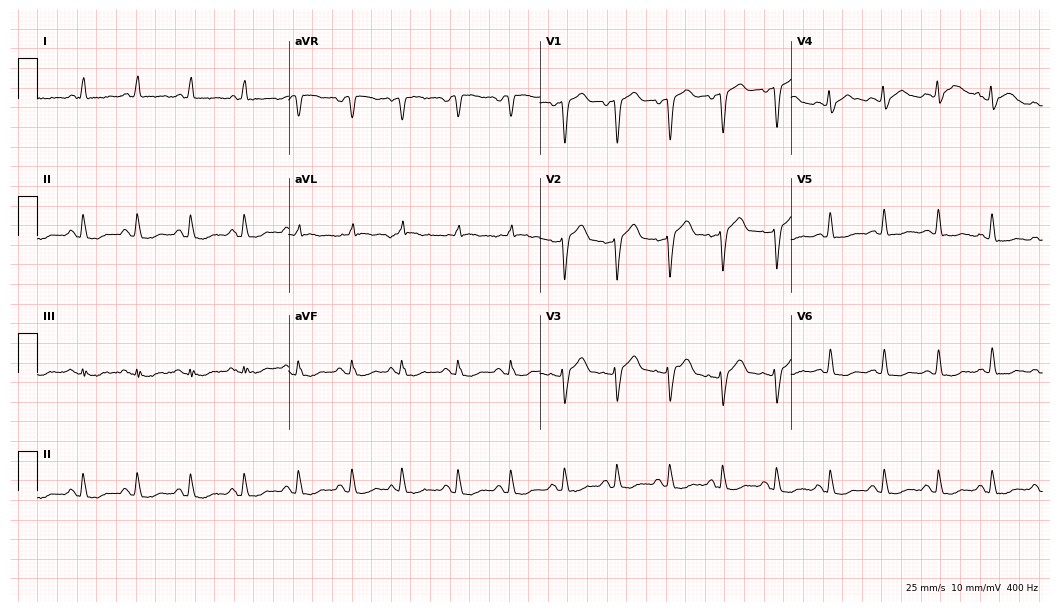
12-lead ECG from a man, 66 years old. Shows sinus tachycardia (a sinus rate of 100 beats per minute or more).